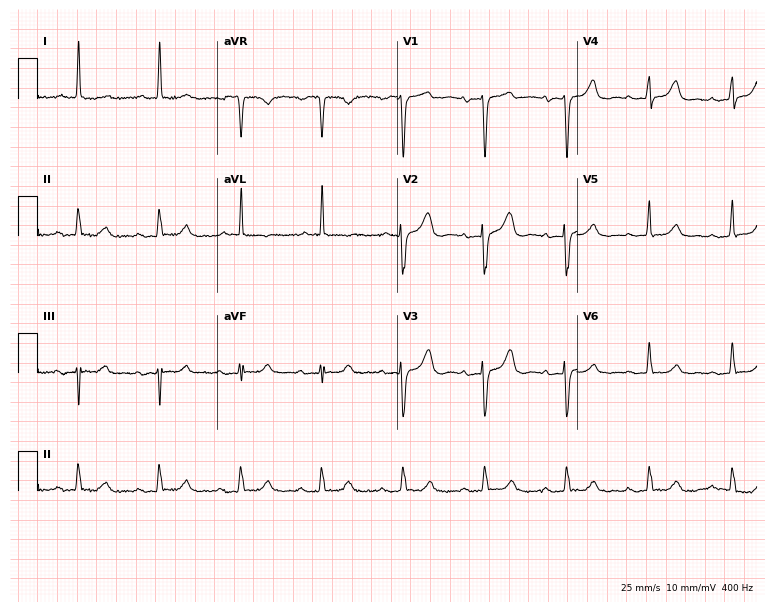
12-lead ECG from a woman, 82 years old. Shows first-degree AV block.